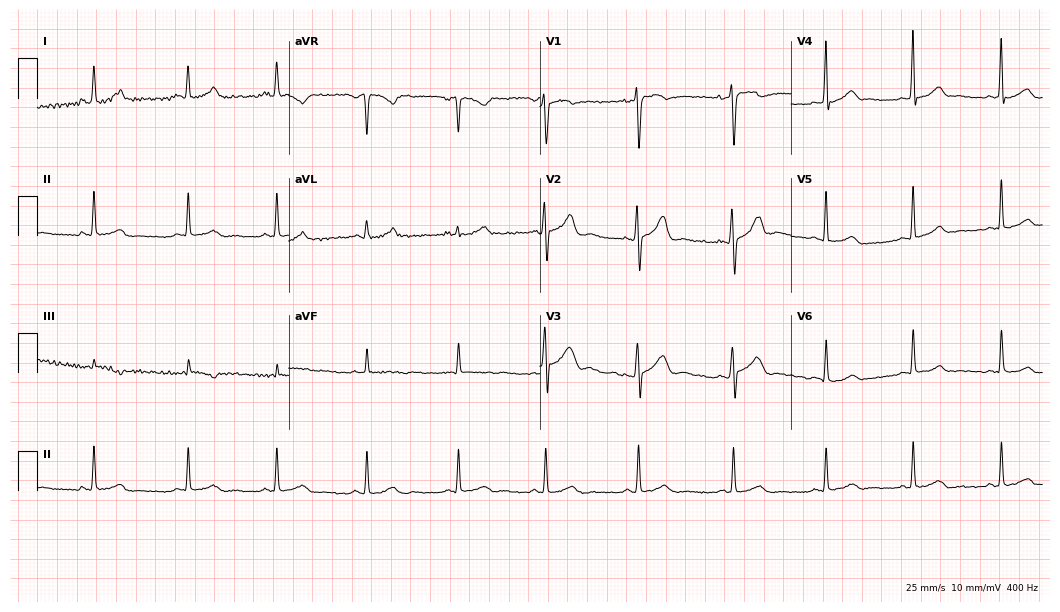
12-lead ECG from a 47-year-old woman (10.2-second recording at 400 Hz). No first-degree AV block, right bundle branch block, left bundle branch block, sinus bradycardia, atrial fibrillation or sinus tachycardia recorded for this tracing. Findings outside these six are not listed.